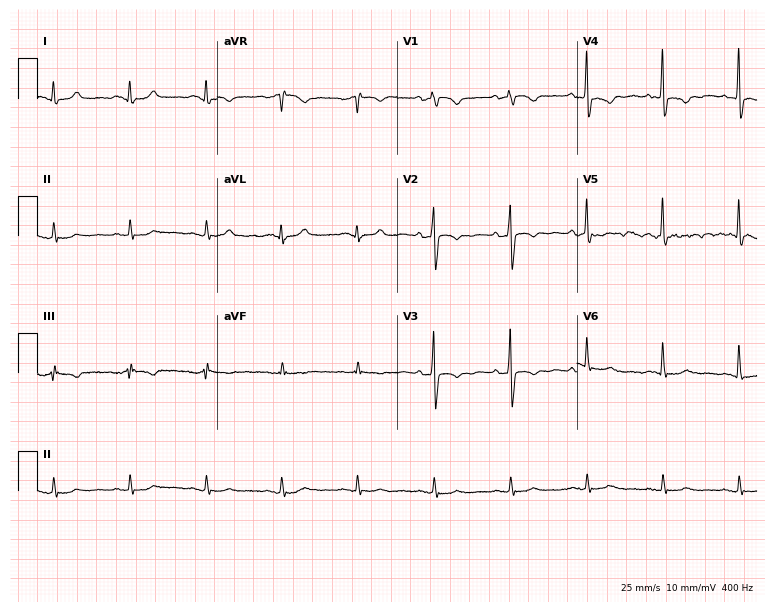
Standard 12-lead ECG recorded from a 62-year-old woman (7.3-second recording at 400 Hz). None of these six findings is recorded: first-degree AV block, right bundle branch block, left bundle branch block, sinus bradycardia, atrial fibrillation, sinus tachycardia. Only these six findings were labelled.